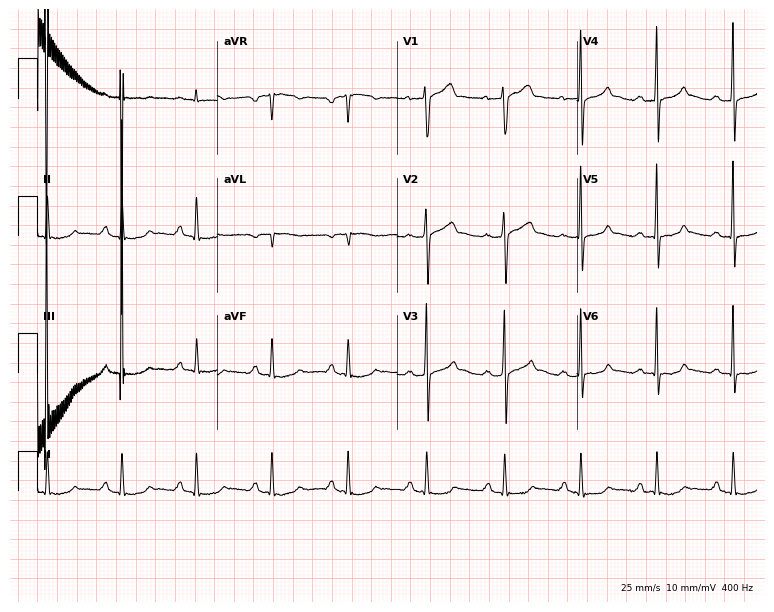
Standard 12-lead ECG recorded from a male patient, 48 years old (7.3-second recording at 400 Hz). None of these six findings is recorded: first-degree AV block, right bundle branch block (RBBB), left bundle branch block (LBBB), sinus bradycardia, atrial fibrillation (AF), sinus tachycardia. Only these six findings were labelled.